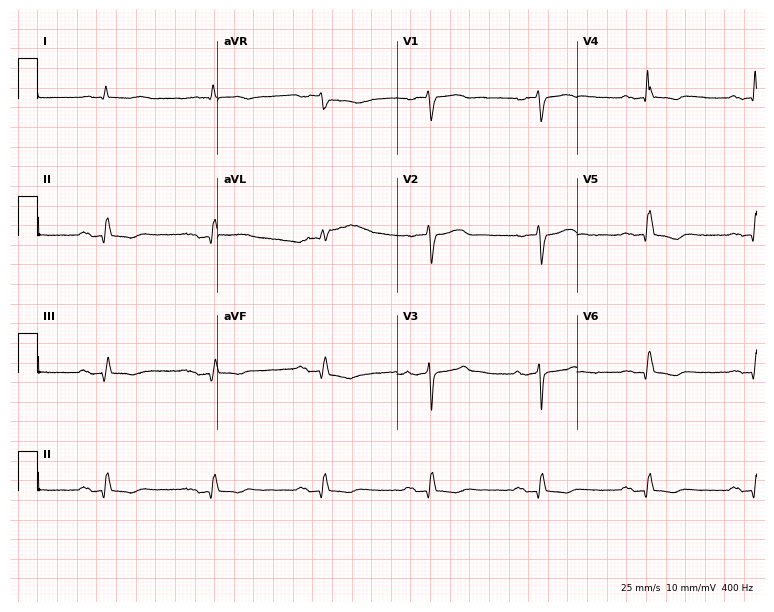
12-lead ECG from a 64-year-old male. No first-degree AV block, right bundle branch block (RBBB), left bundle branch block (LBBB), sinus bradycardia, atrial fibrillation (AF) or sinus tachycardia recorded for this tracing. Only these six findings were labelled.